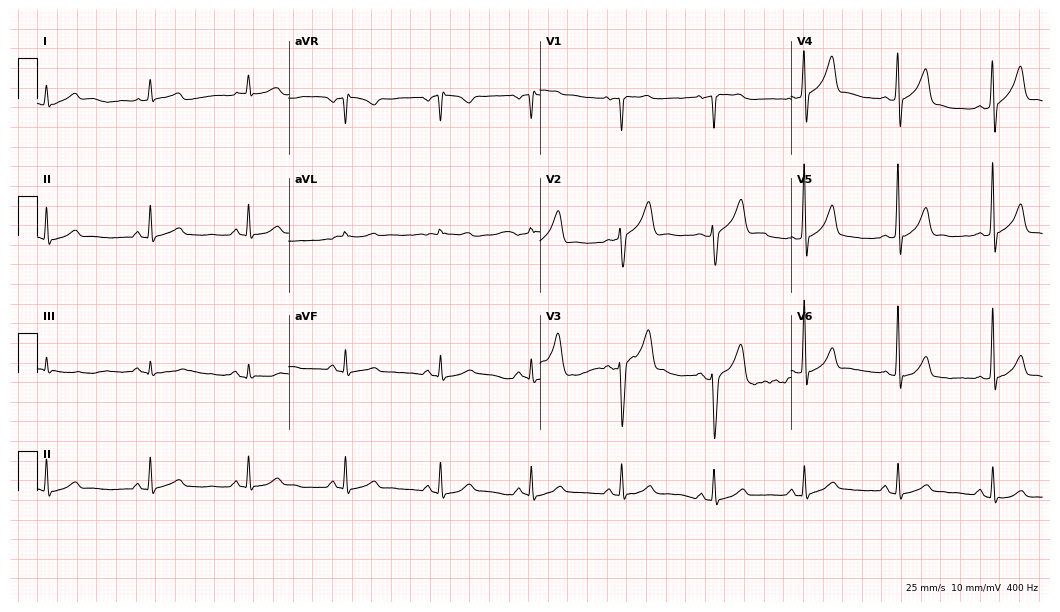
12-lead ECG from a 70-year-old man. Labelled as a normal ECG.